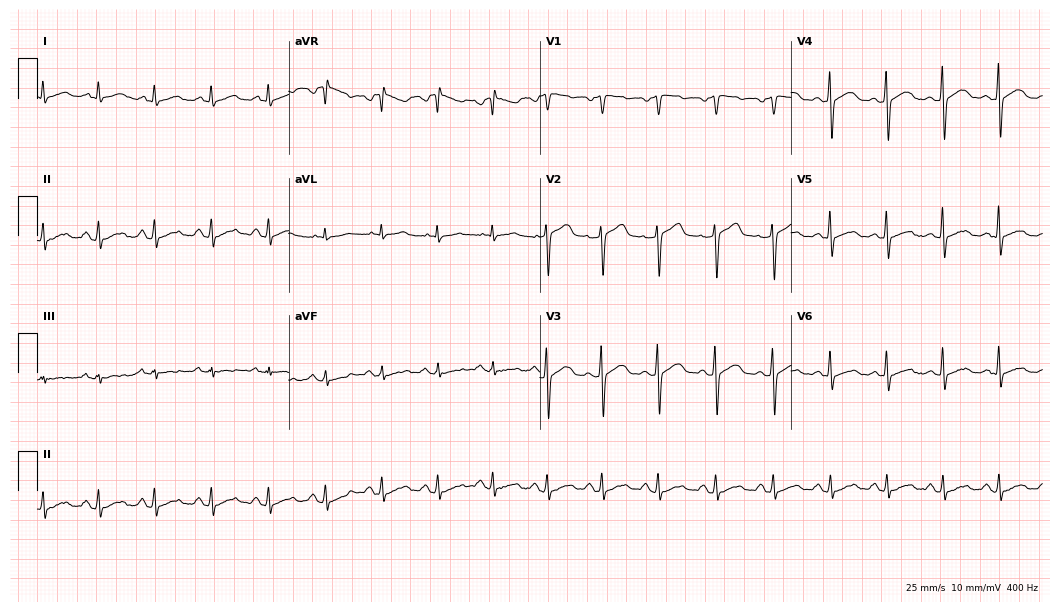
Electrocardiogram (10.2-second recording at 400 Hz), a man, 51 years old. Interpretation includes sinus tachycardia (a sinus rate of 100 beats per minute or more).